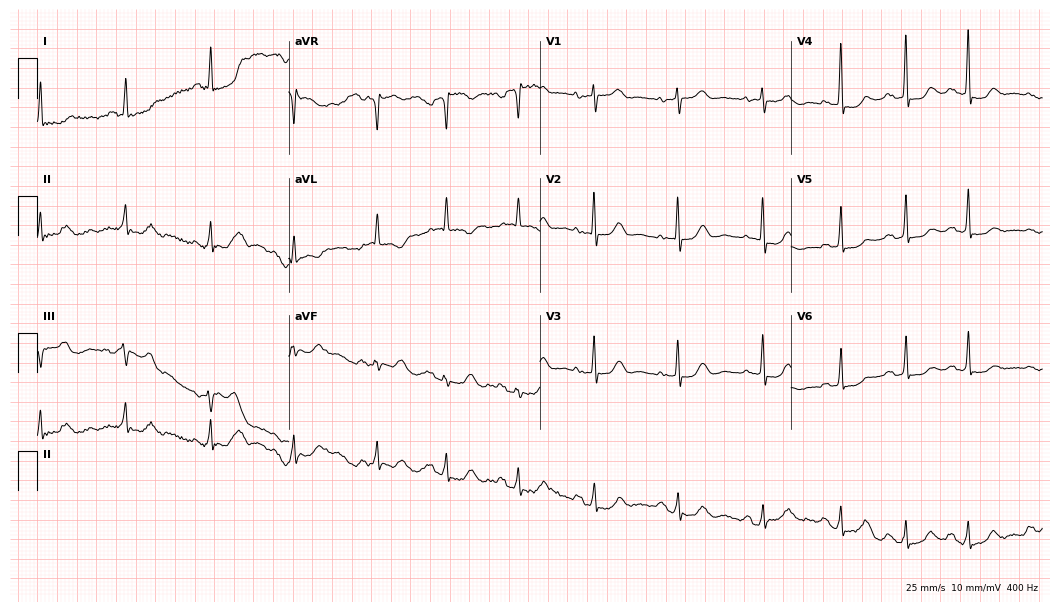
Resting 12-lead electrocardiogram (10.2-second recording at 400 Hz). Patient: a woman, 71 years old. None of these six findings is recorded: first-degree AV block, right bundle branch block (RBBB), left bundle branch block (LBBB), sinus bradycardia, atrial fibrillation (AF), sinus tachycardia. Other findings, if any, are not listed.